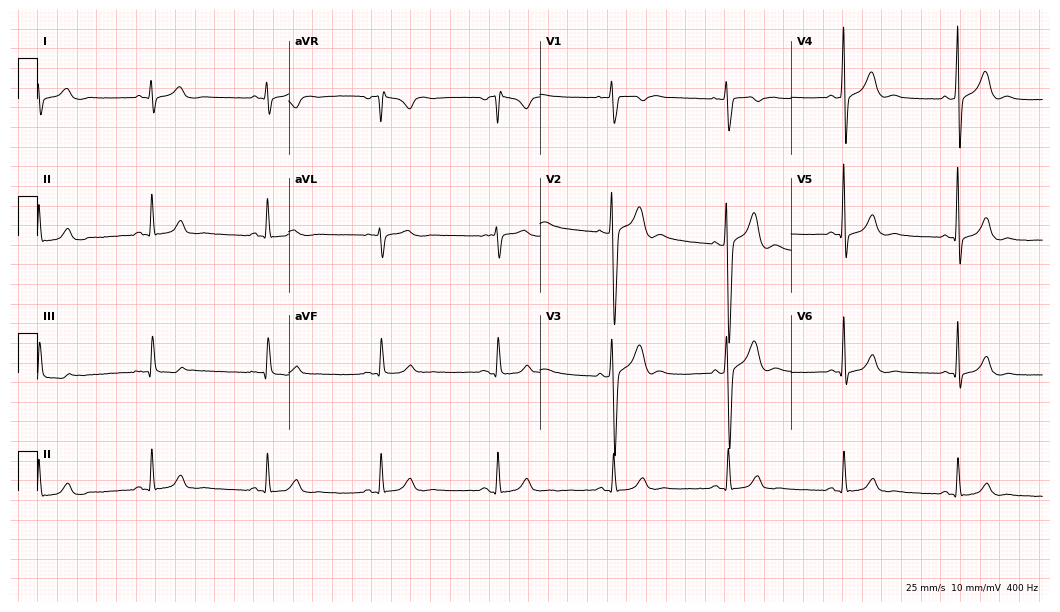
Electrocardiogram, a 31-year-old male patient. Of the six screened findings (first-degree AV block, right bundle branch block (RBBB), left bundle branch block (LBBB), sinus bradycardia, atrial fibrillation (AF), sinus tachycardia), none is recorded.